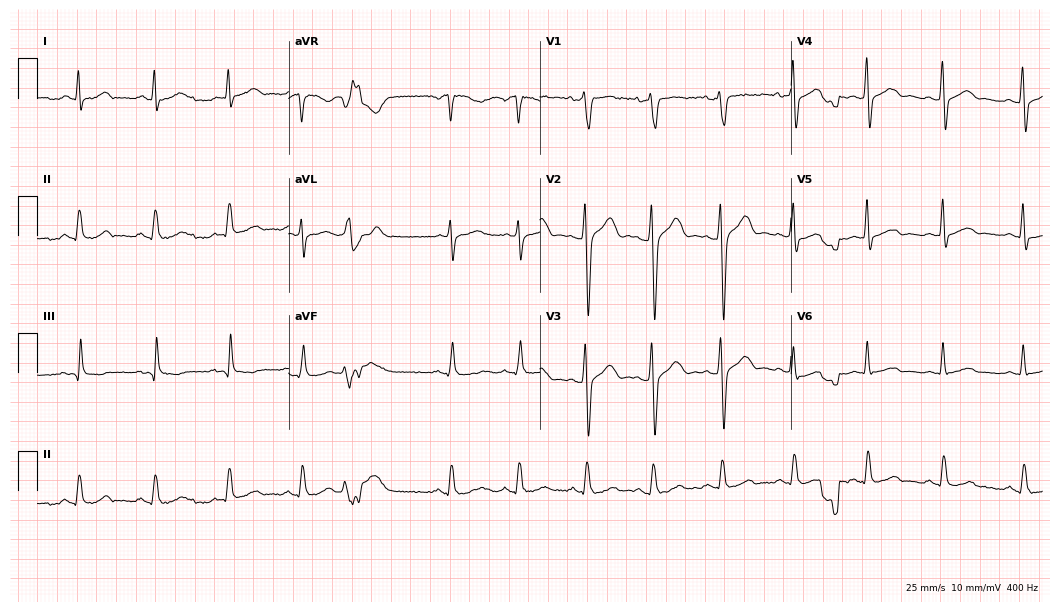
Resting 12-lead electrocardiogram (10.2-second recording at 400 Hz). Patient: a male, 30 years old. None of these six findings is recorded: first-degree AV block, right bundle branch block, left bundle branch block, sinus bradycardia, atrial fibrillation, sinus tachycardia.